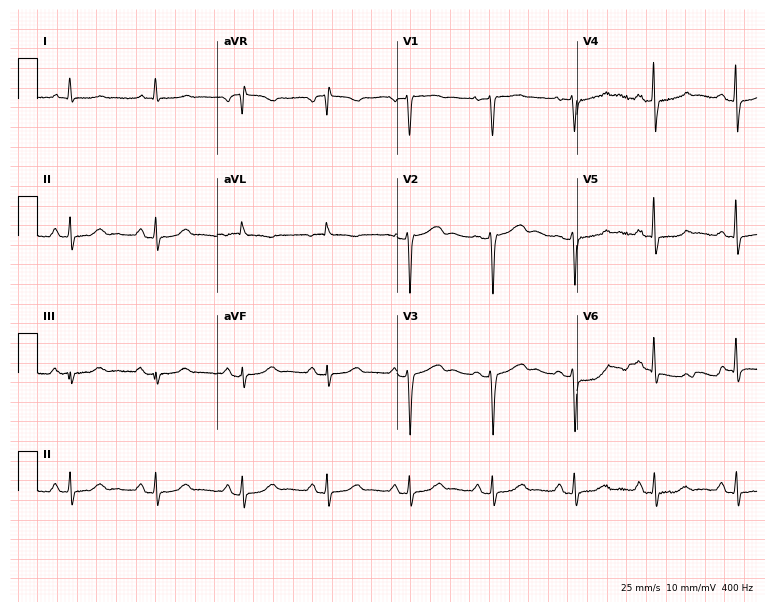
ECG — a 57-year-old female. Labelled as a normal ECG.